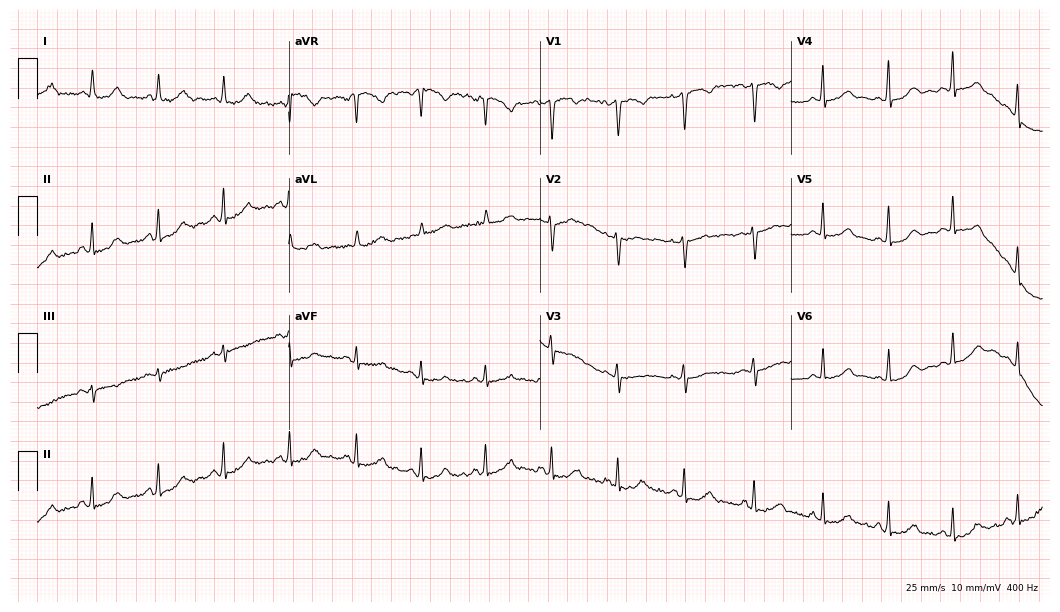
Resting 12-lead electrocardiogram. Patient: a woman, 37 years old. Read as a normal ECG.